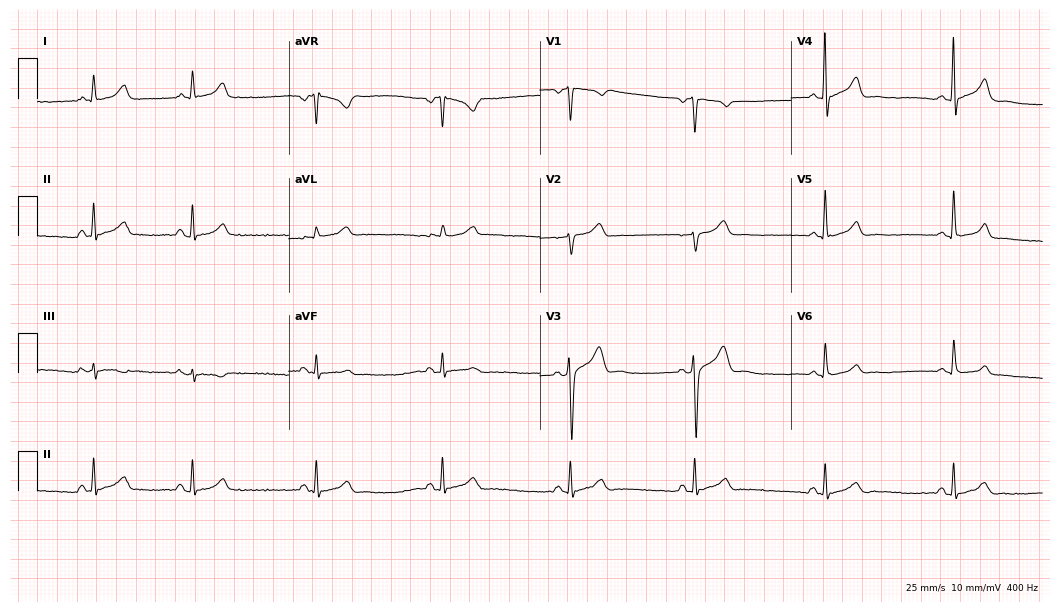
Electrocardiogram (10.2-second recording at 400 Hz), a male patient, 51 years old. Of the six screened findings (first-degree AV block, right bundle branch block (RBBB), left bundle branch block (LBBB), sinus bradycardia, atrial fibrillation (AF), sinus tachycardia), none is recorded. Findings outside these six are not listed.